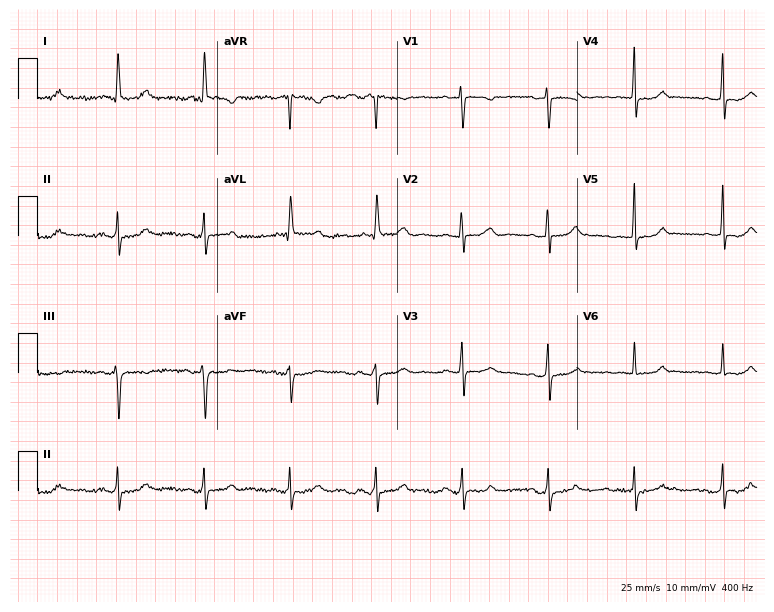
ECG — a woman, 71 years old. Screened for six findings — first-degree AV block, right bundle branch block (RBBB), left bundle branch block (LBBB), sinus bradycardia, atrial fibrillation (AF), sinus tachycardia — none is recorded. Findings outside these six are not listed.